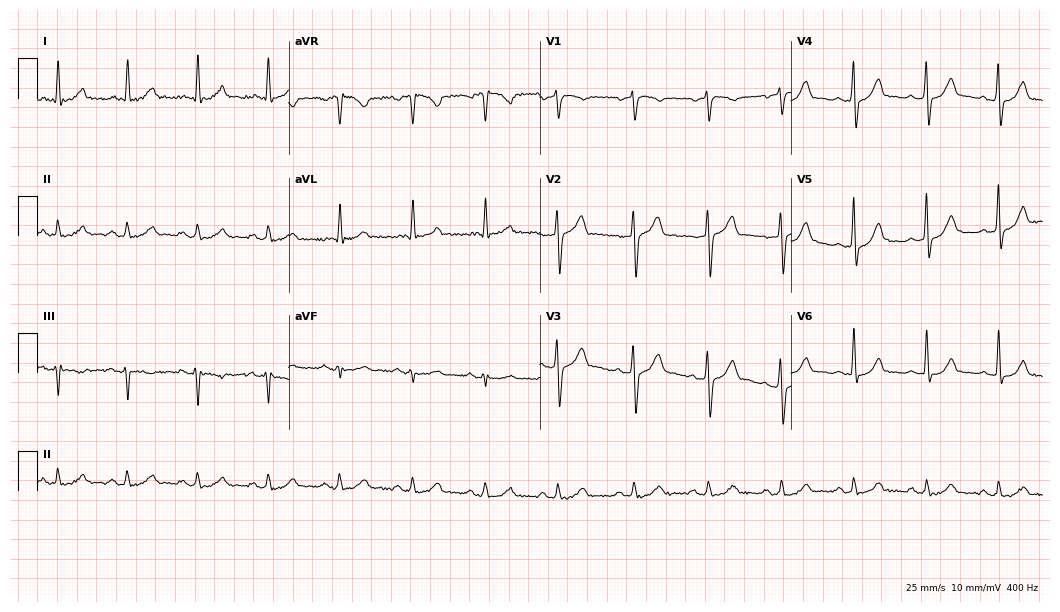
12-lead ECG (10.2-second recording at 400 Hz) from a 59-year-old male patient. Labelled as a normal ECG.